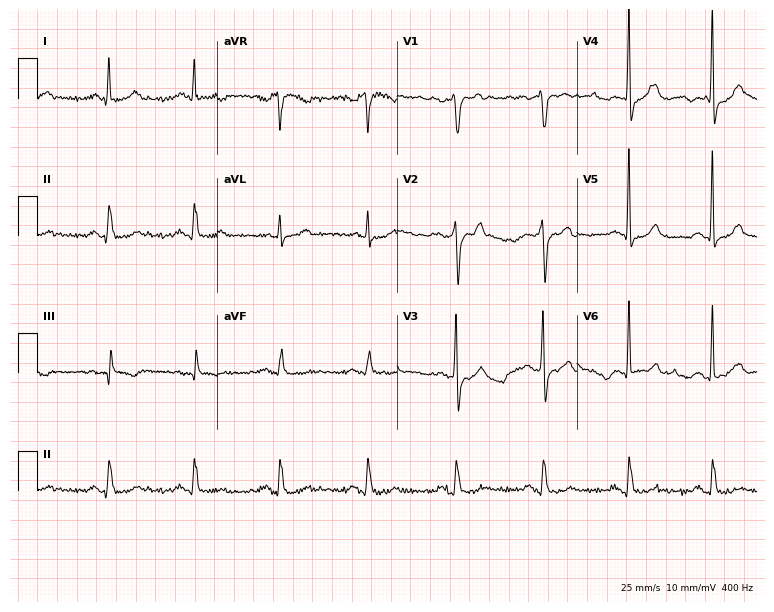
12-lead ECG from a 50-year-old man. No first-degree AV block, right bundle branch block, left bundle branch block, sinus bradycardia, atrial fibrillation or sinus tachycardia recorded for this tracing. Findings outside these six are not listed.